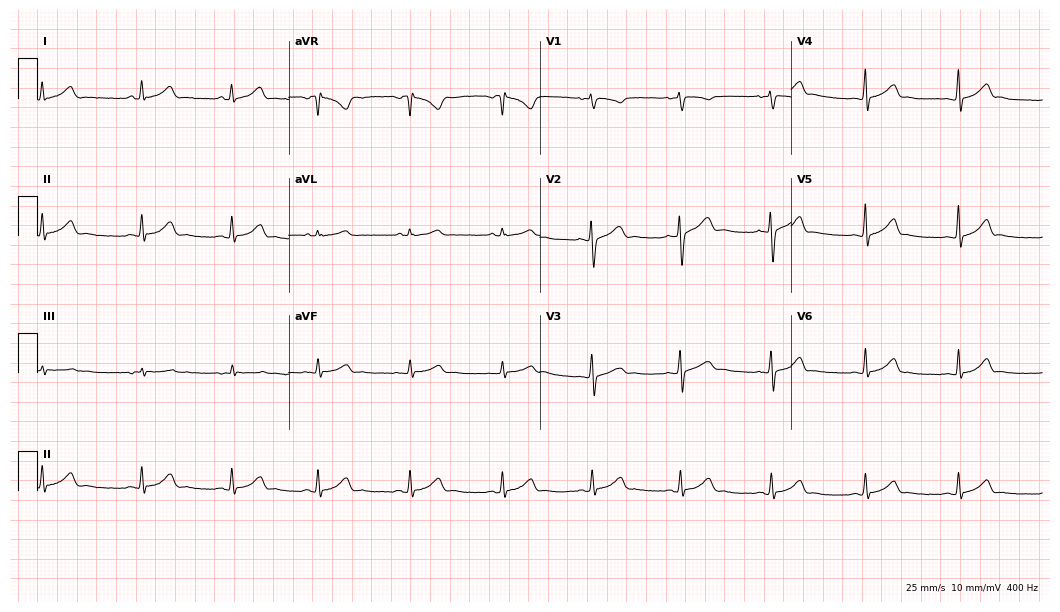
12-lead ECG (10.2-second recording at 400 Hz) from a 21-year-old female patient. Labelled as a normal ECG.